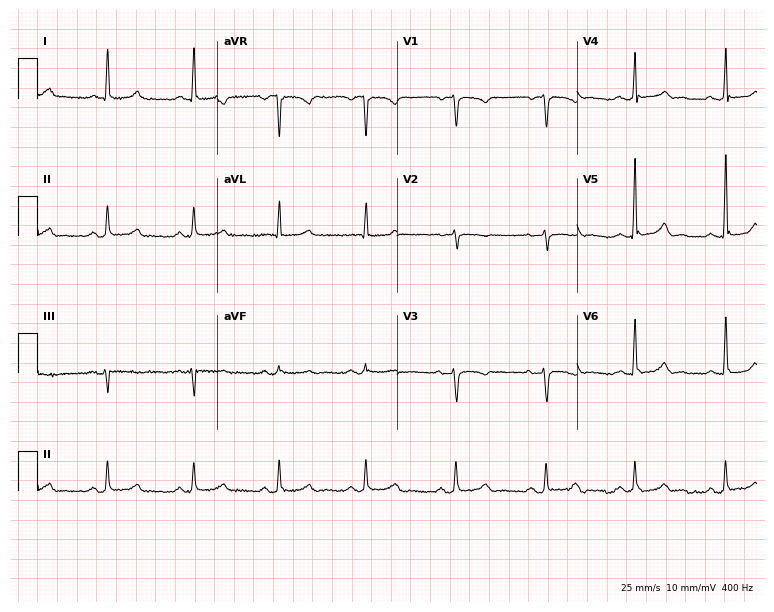
Standard 12-lead ECG recorded from a 64-year-old female. None of these six findings is recorded: first-degree AV block, right bundle branch block (RBBB), left bundle branch block (LBBB), sinus bradycardia, atrial fibrillation (AF), sinus tachycardia.